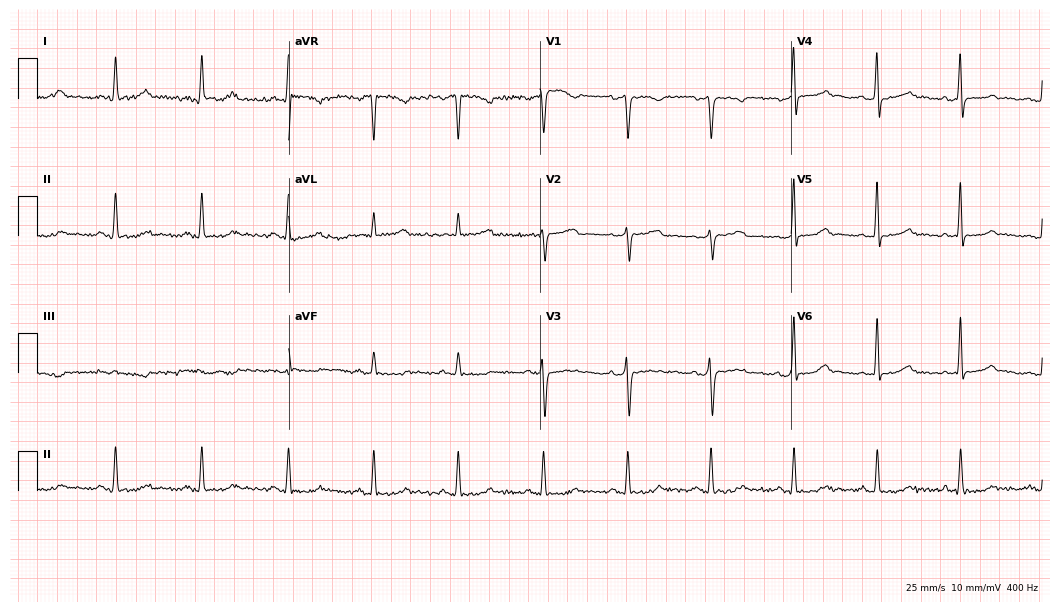
ECG — a 46-year-old female patient. Labelled as a normal ECG.